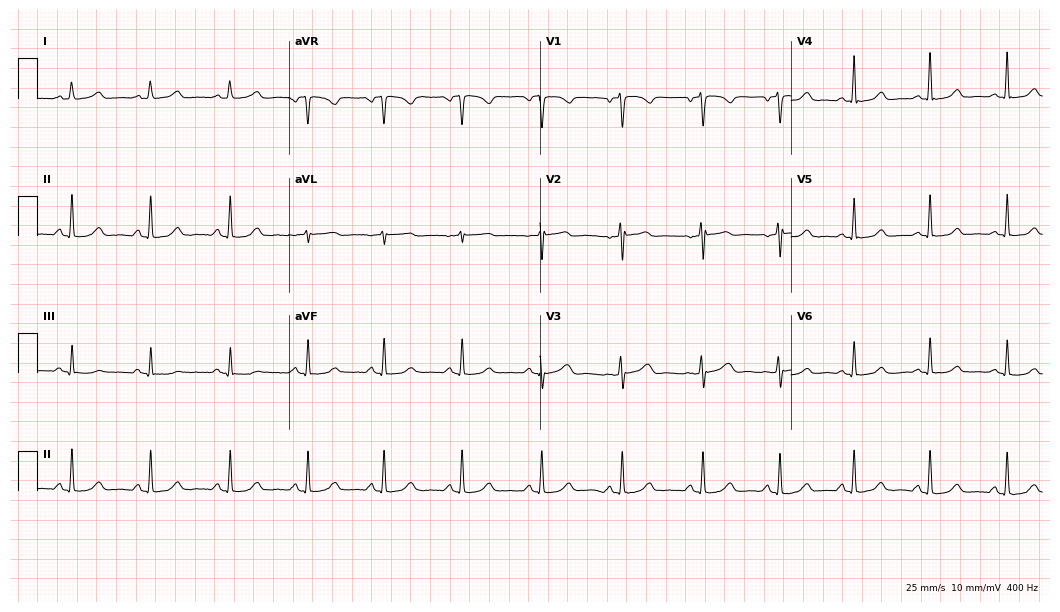
ECG — a female patient, 33 years old. Labelled as a normal ECG.